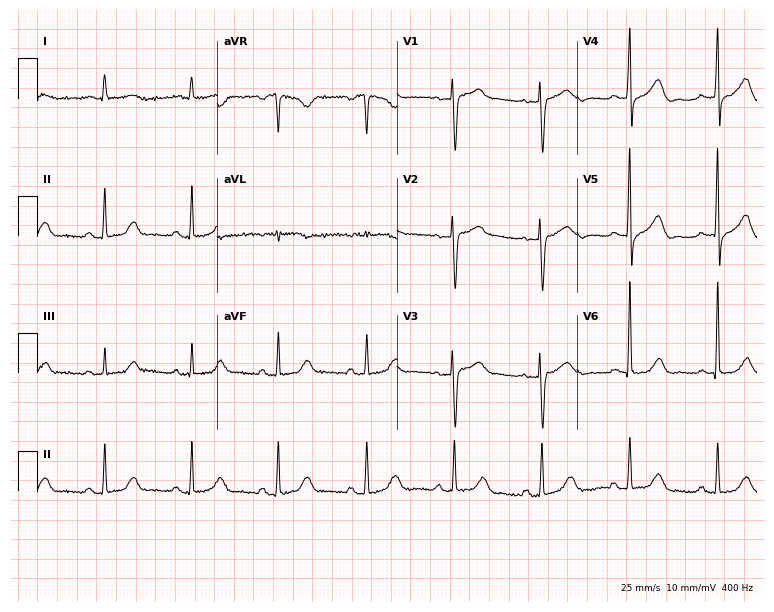
Resting 12-lead electrocardiogram. Patient: a female, 72 years old. Read as a normal ECG.